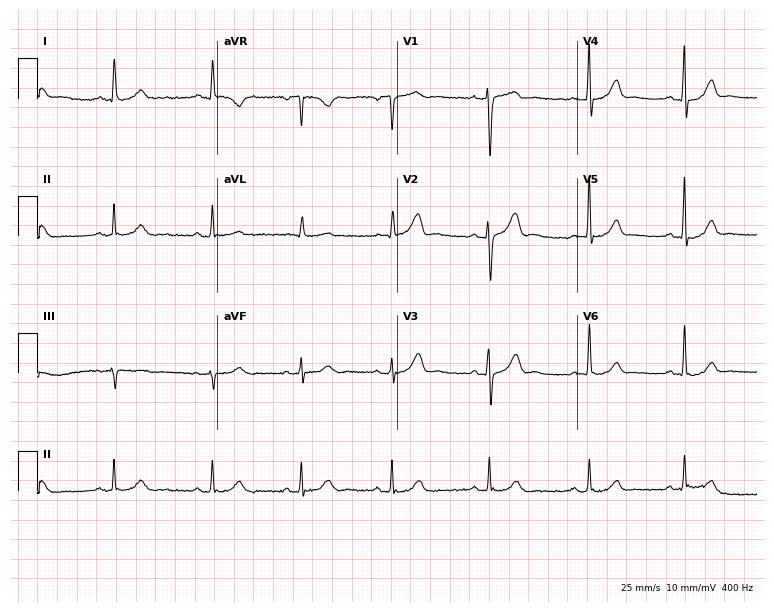
Electrocardiogram, a male patient, 45 years old. Overall reading on record: normal ECG.